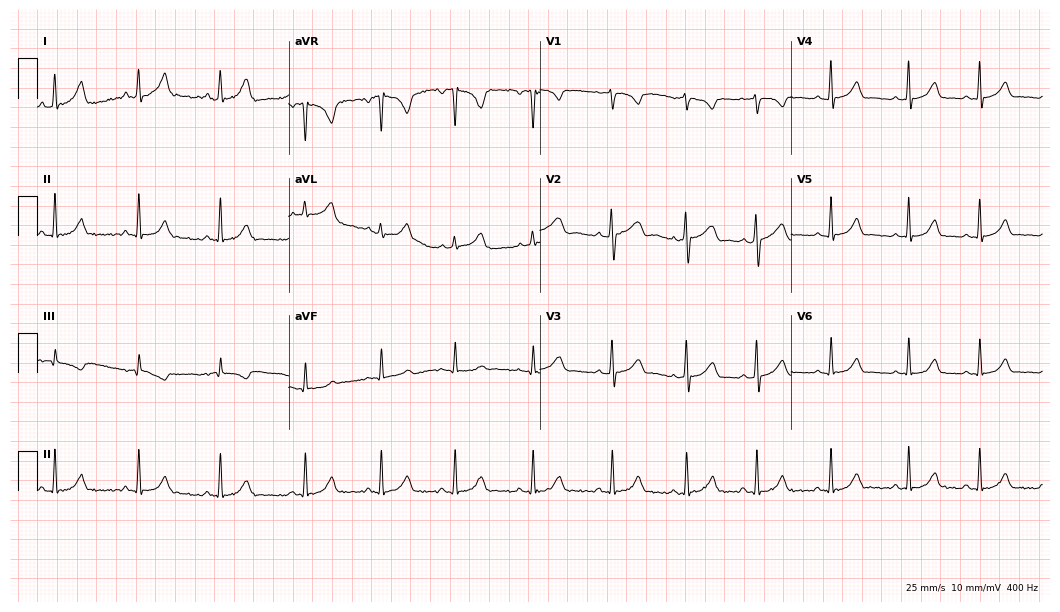
Resting 12-lead electrocardiogram (10.2-second recording at 400 Hz). Patient: a 19-year-old female. Read as a normal ECG.